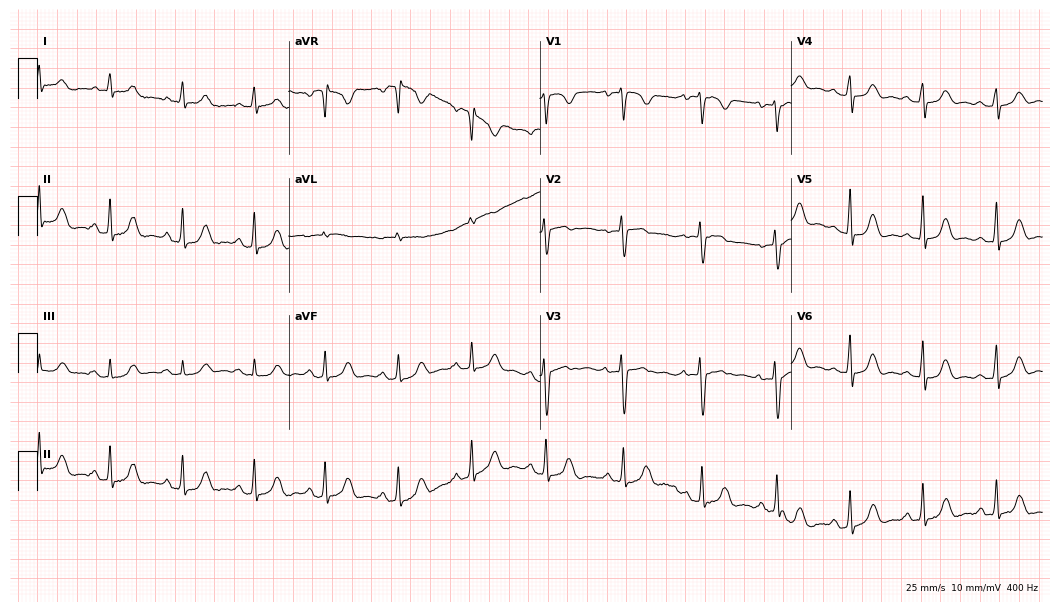
ECG (10.2-second recording at 400 Hz) — a female, 41 years old. Labelled as a normal ECG.